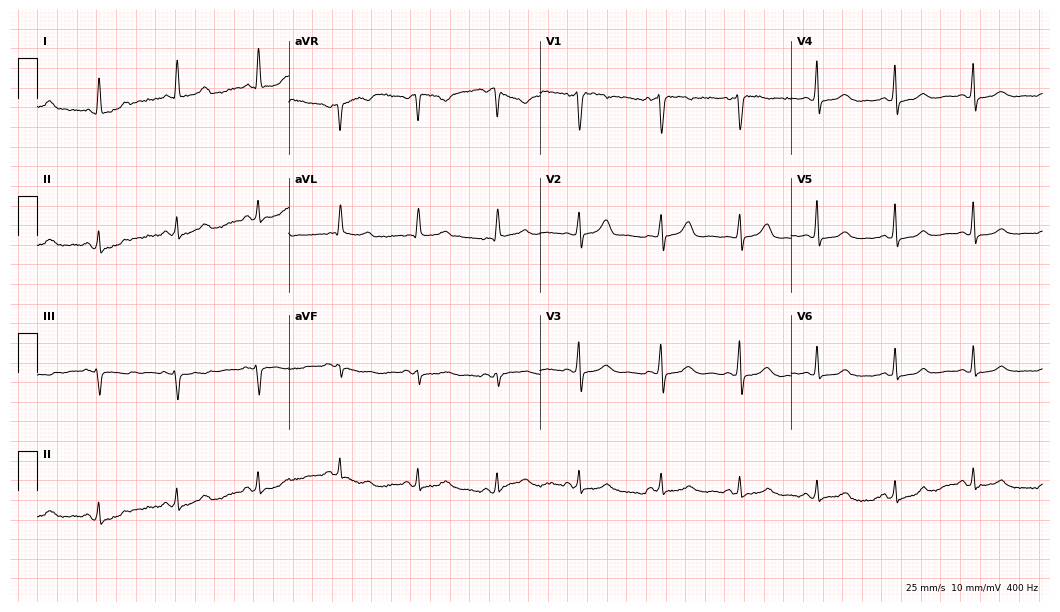
12-lead ECG (10.2-second recording at 400 Hz) from a 56-year-old female patient. Labelled as a normal ECG.